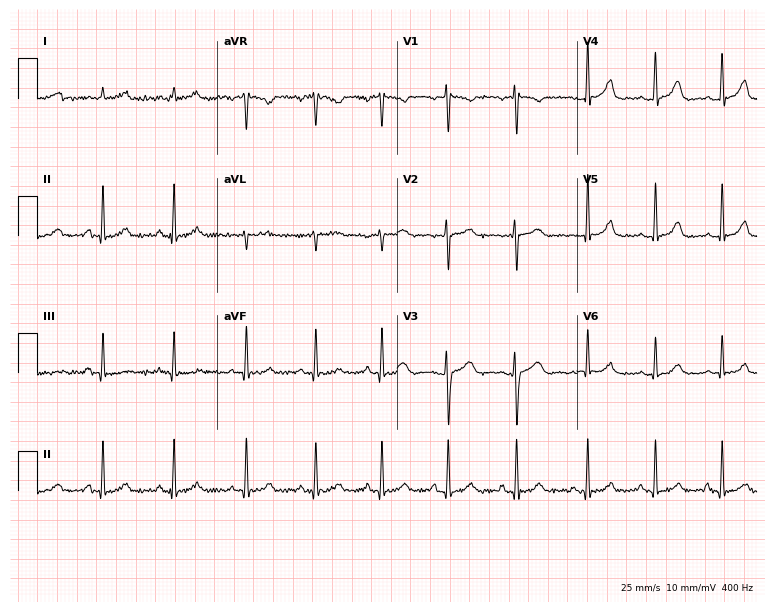
ECG (7.3-second recording at 400 Hz) — a female, 36 years old. Screened for six findings — first-degree AV block, right bundle branch block (RBBB), left bundle branch block (LBBB), sinus bradycardia, atrial fibrillation (AF), sinus tachycardia — none is recorded. Findings outside these six are not listed.